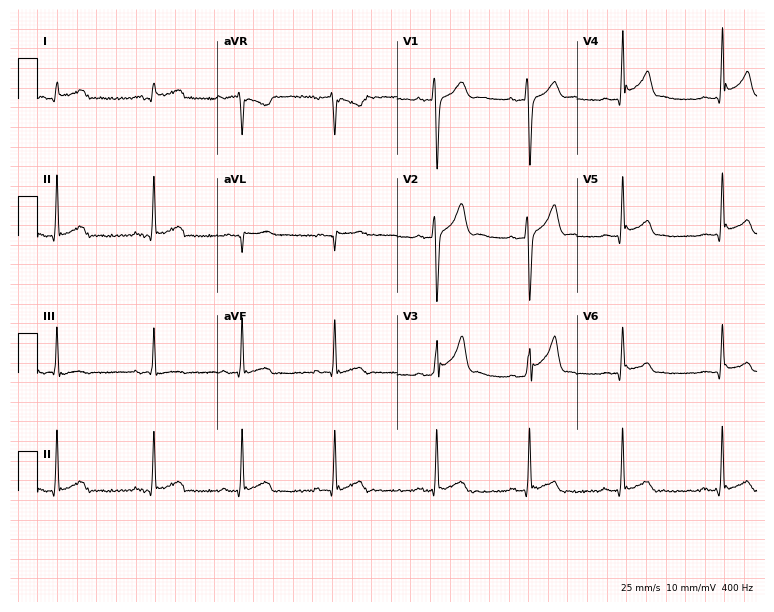
Resting 12-lead electrocardiogram (7.3-second recording at 400 Hz). Patient: a male, 18 years old. None of these six findings is recorded: first-degree AV block, right bundle branch block, left bundle branch block, sinus bradycardia, atrial fibrillation, sinus tachycardia.